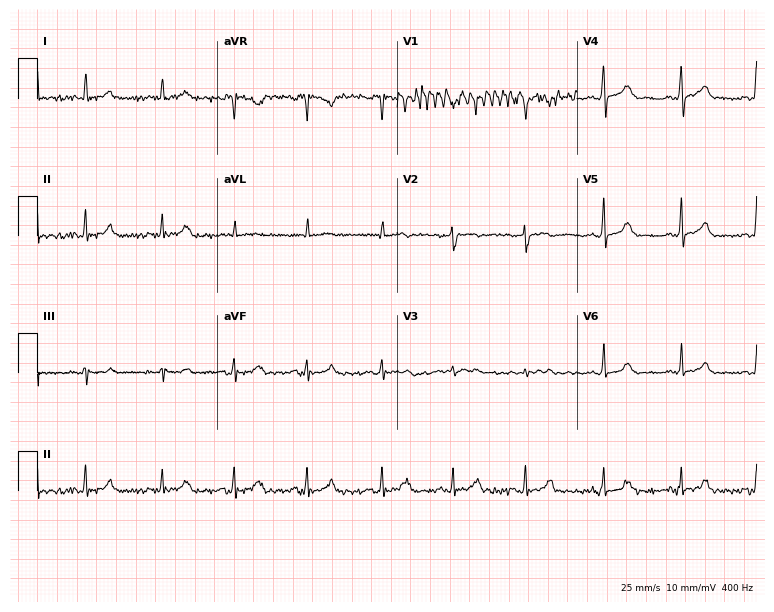
Resting 12-lead electrocardiogram. Patient: a 36-year-old woman. Read as a normal ECG.